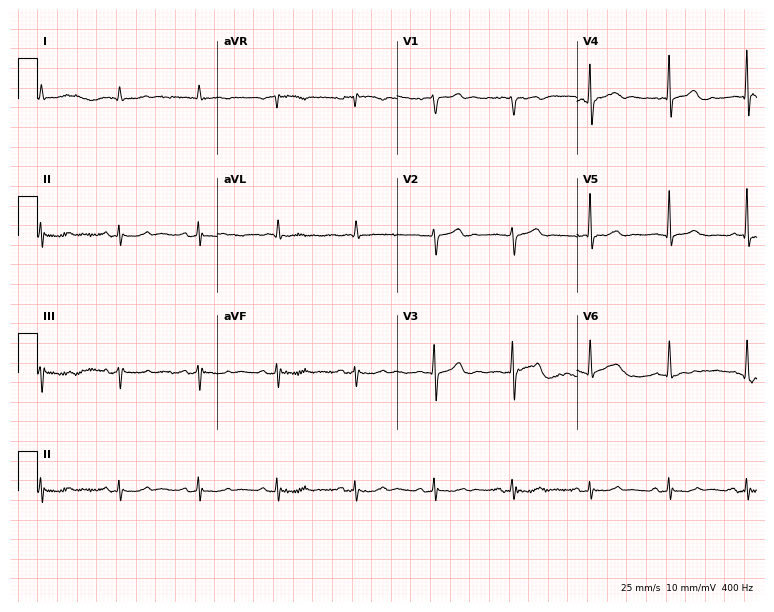
ECG — a 79-year-old male. Screened for six findings — first-degree AV block, right bundle branch block (RBBB), left bundle branch block (LBBB), sinus bradycardia, atrial fibrillation (AF), sinus tachycardia — none is recorded.